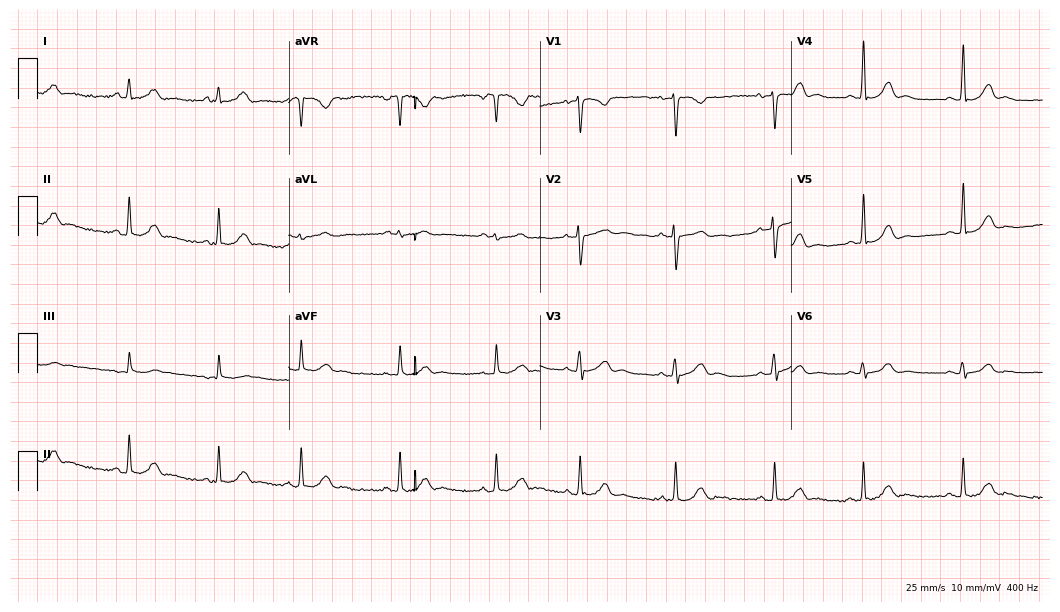
12-lead ECG from a female patient, 23 years old (10.2-second recording at 400 Hz). Recorded interpretation: within normal limits.